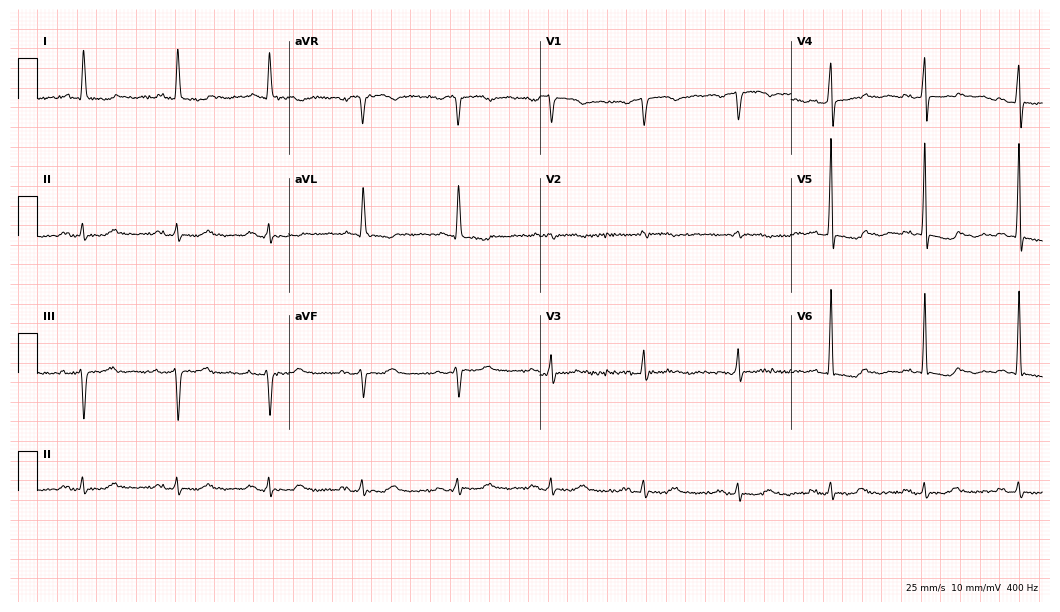
Standard 12-lead ECG recorded from a female, 70 years old (10.2-second recording at 400 Hz). None of these six findings is recorded: first-degree AV block, right bundle branch block (RBBB), left bundle branch block (LBBB), sinus bradycardia, atrial fibrillation (AF), sinus tachycardia. Other findings, if any, are not listed.